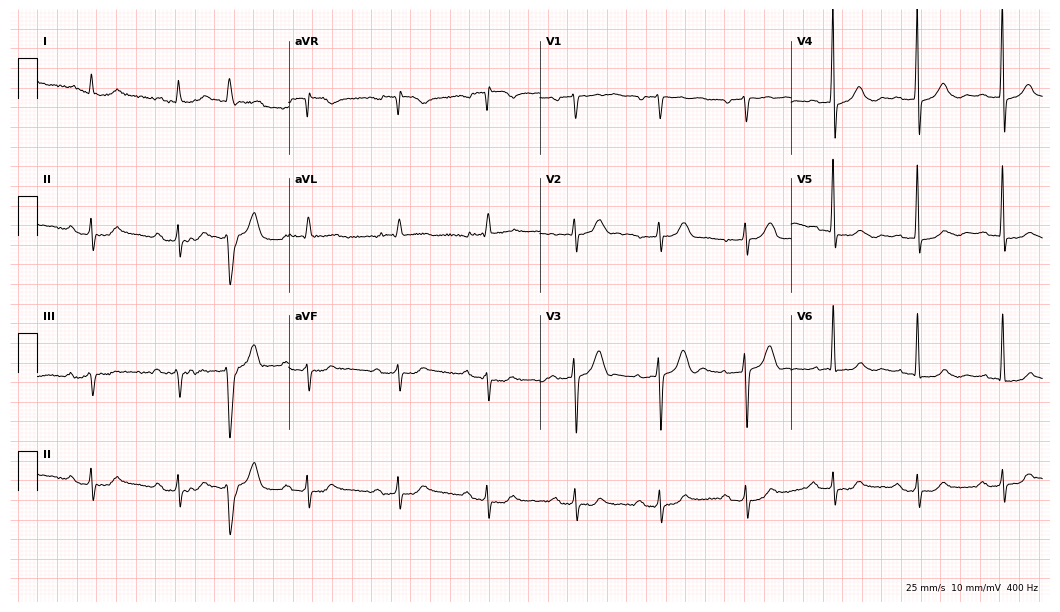
Electrocardiogram, a 79-year-old male patient. Of the six screened findings (first-degree AV block, right bundle branch block, left bundle branch block, sinus bradycardia, atrial fibrillation, sinus tachycardia), none is recorded.